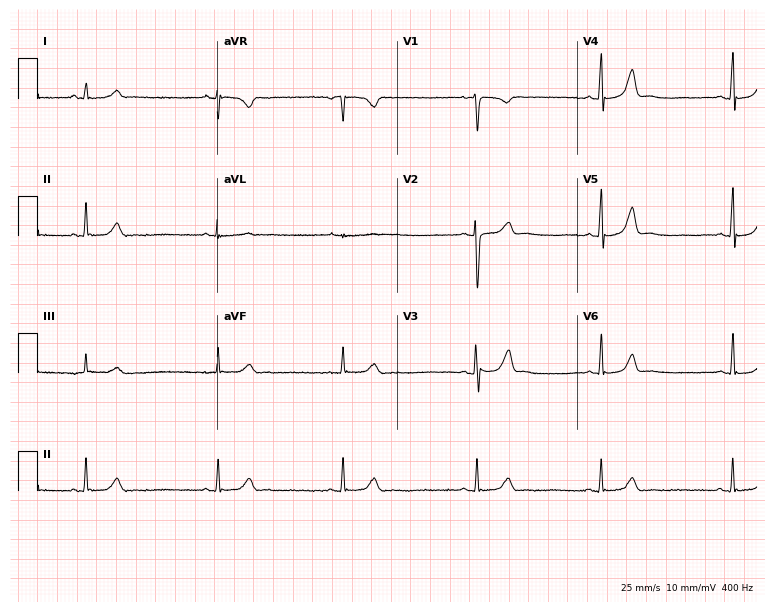
Electrocardiogram, a female, 19 years old. Interpretation includes sinus bradycardia (a sinus rate of 50 beats per minute or less).